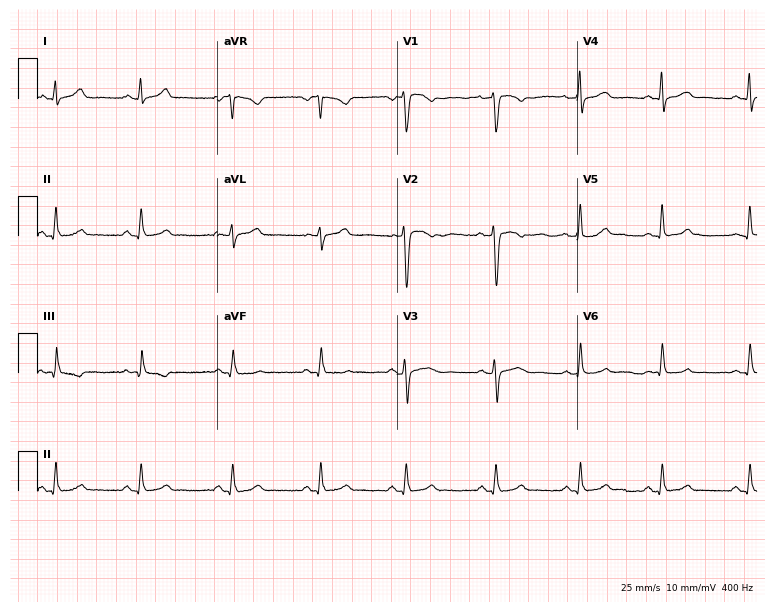
ECG (7.3-second recording at 400 Hz) — a 30-year-old female patient. Labelled as a normal ECG.